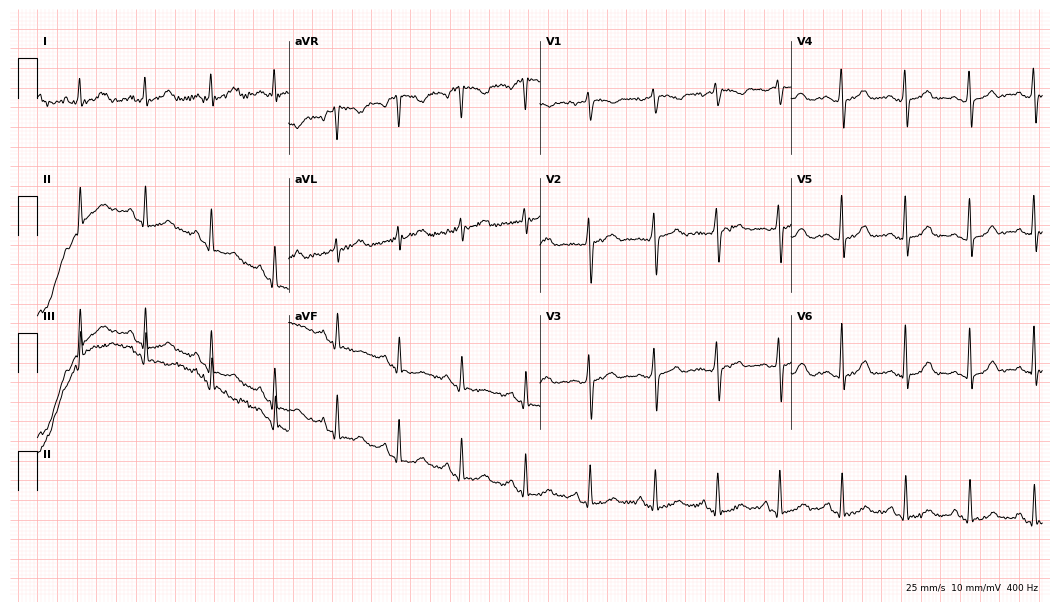
Standard 12-lead ECG recorded from a 52-year-old woman. None of these six findings is recorded: first-degree AV block, right bundle branch block, left bundle branch block, sinus bradycardia, atrial fibrillation, sinus tachycardia. Other findings, if any, are not listed.